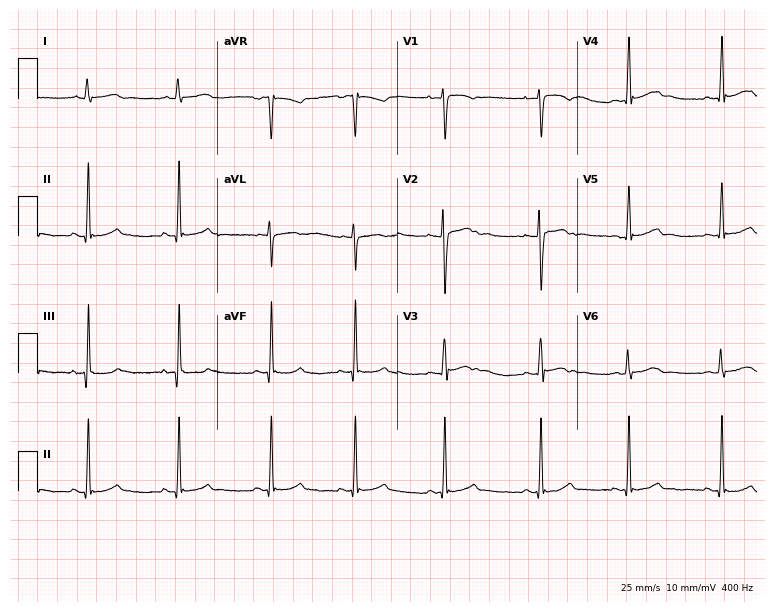
ECG (7.3-second recording at 400 Hz) — a male patient, 20 years old. Screened for six findings — first-degree AV block, right bundle branch block (RBBB), left bundle branch block (LBBB), sinus bradycardia, atrial fibrillation (AF), sinus tachycardia — none is recorded.